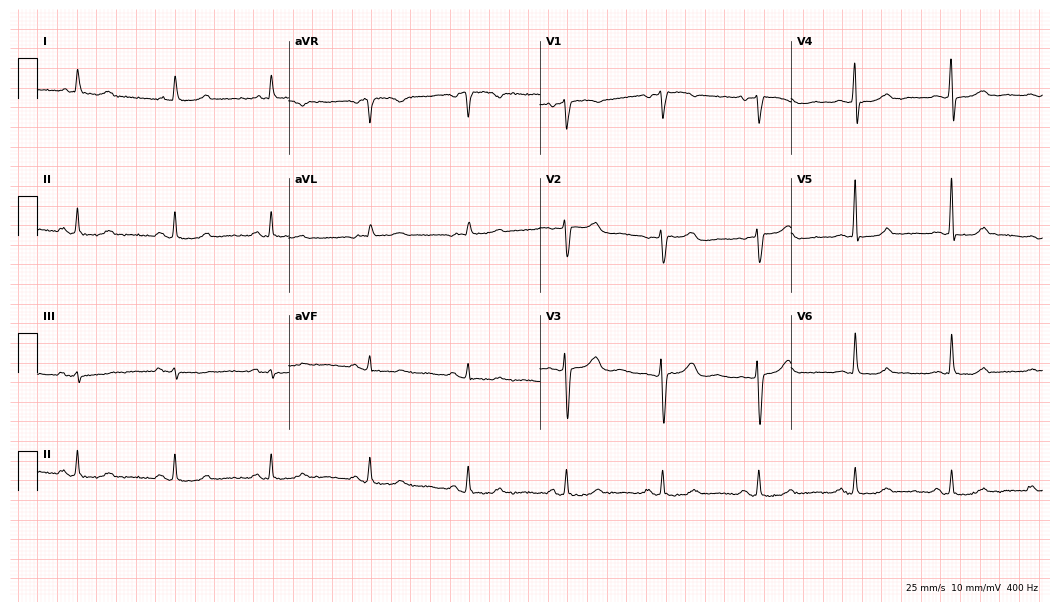
Standard 12-lead ECG recorded from a female patient, 77 years old. Read as a normal ECG.